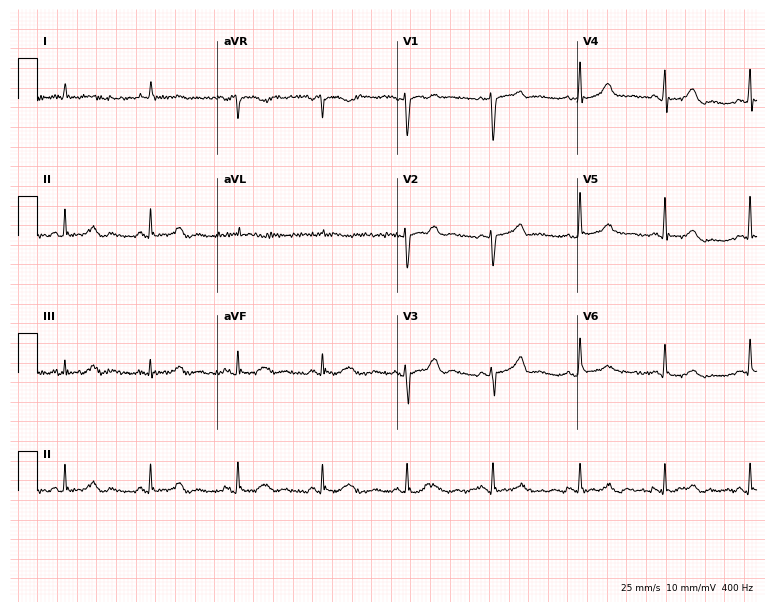
Standard 12-lead ECG recorded from a male patient, 69 years old (7.3-second recording at 400 Hz). None of these six findings is recorded: first-degree AV block, right bundle branch block, left bundle branch block, sinus bradycardia, atrial fibrillation, sinus tachycardia.